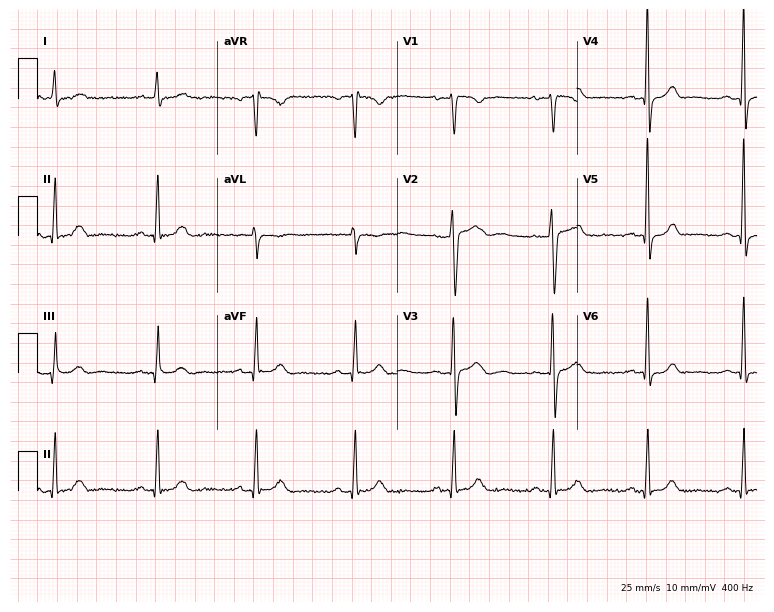
Electrocardiogram (7.3-second recording at 400 Hz), a female patient, 50 years old. Of the six screened findings (first-degree AV block, right bundle branch block, left bundle branch block, sinus bradycardia, atrial fibrillation, sinus tachycardia), none is recorded.